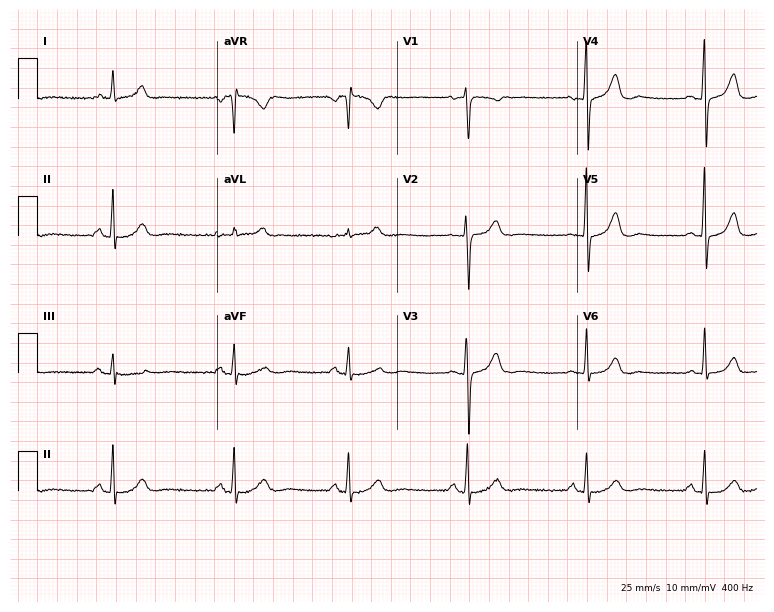
Resting 12-lead electrocardiogram (7.3-second recording at 400 Hz). Patient: a 58-year-old female. Read as a normal ECG.